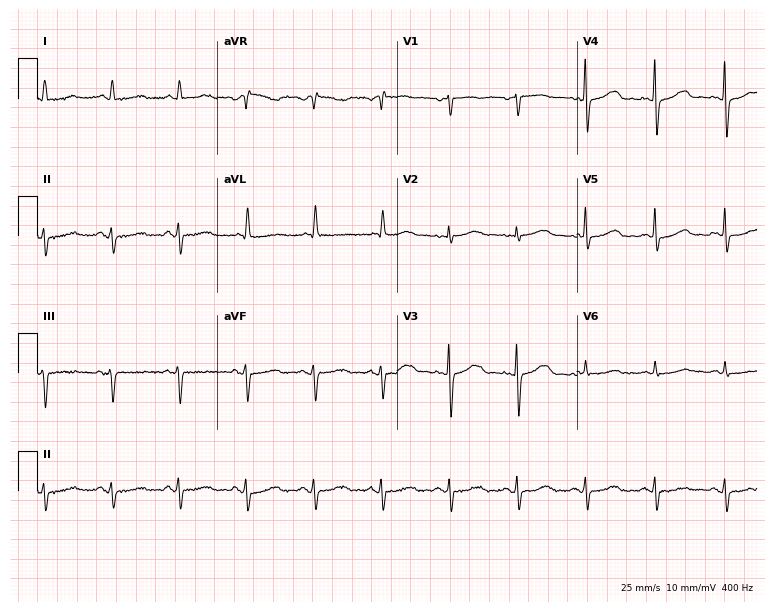
12-lead ECG from a woman, 76 years old. Recorded interpretation: within normal limits.